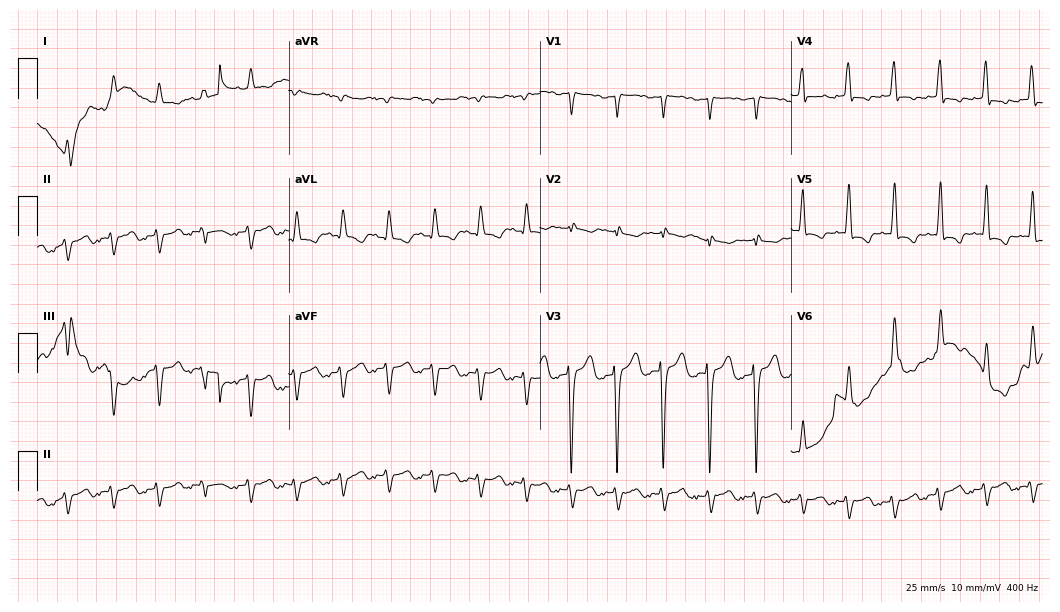
12-lead ECG from an 80-year-old male (10.2-second recording at 400 Hz). No first-degree AV block, right bundle branch block, left bundle branch block, sinus bradycardia, atrial fibrillation or sinus tachycardia recorded for this tracing.